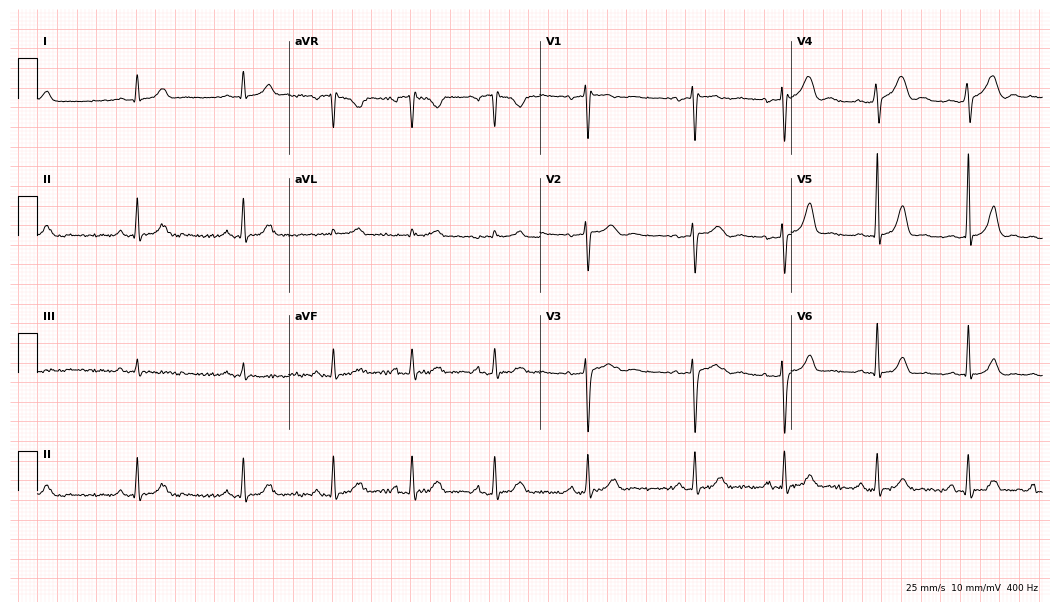
ECG (10.2-second recording at 400 Hz) — a 31-year-old female. Labelled as a normal ECG.